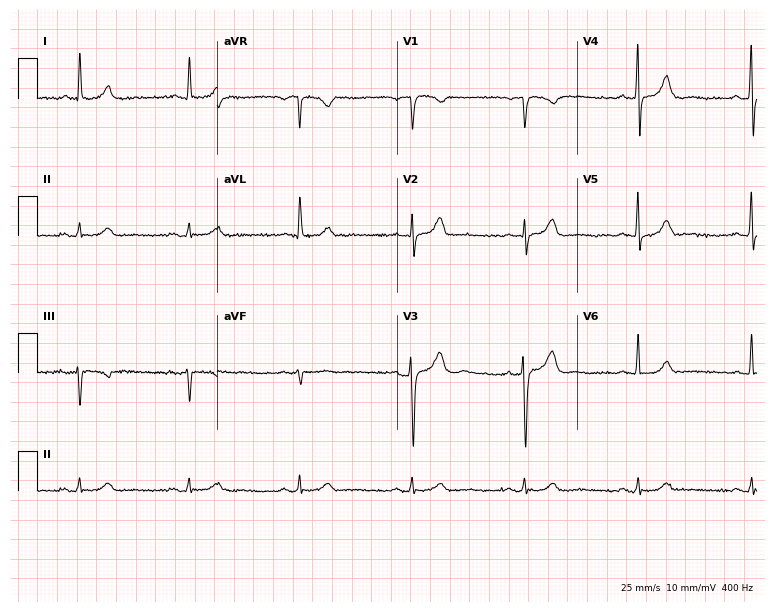
12-lead ECG (7.3-second recording at 400 Hz) from an 84-year-old man. Labelled as a normal ECG.